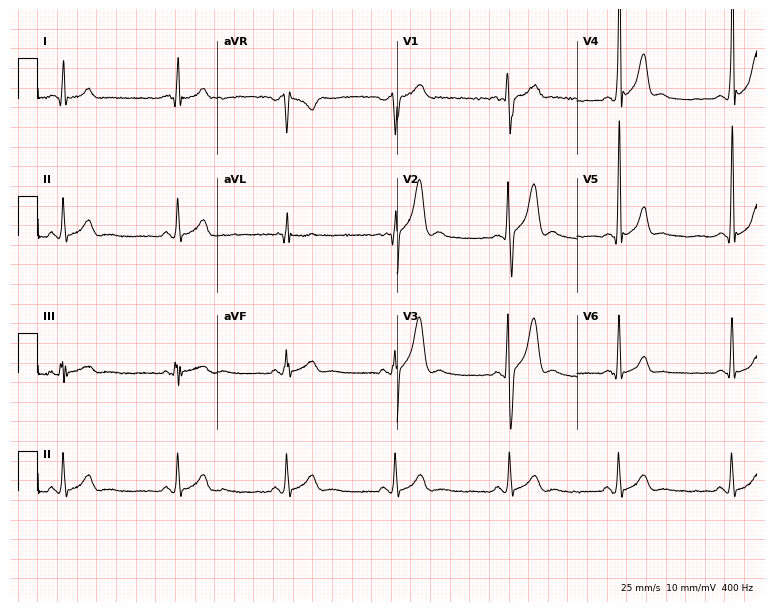
Electrocardiogram (7.3-second recording at 400 Hz), a 19-year-old male. Overall reading on record: normal ECG.